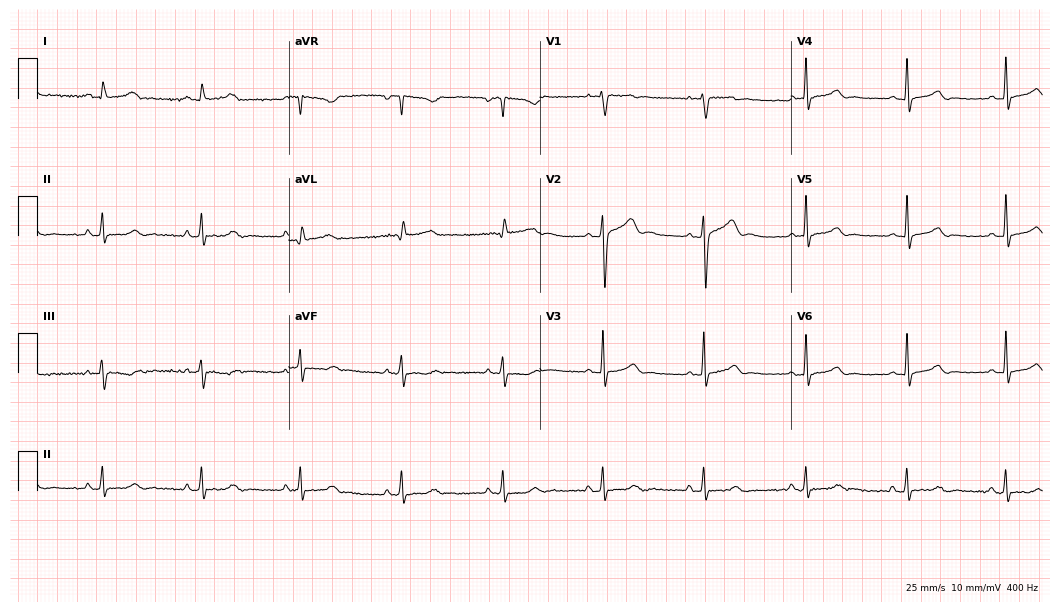
ECG (10.2-second recording at 400 Hz) — a man, 60 years old. Screened for six findings — first-degree AV block, right bundle branch block, left bundle branch block, sinus bradycardia, atrial fibrillation, sinus tachycardia — none is recorded.